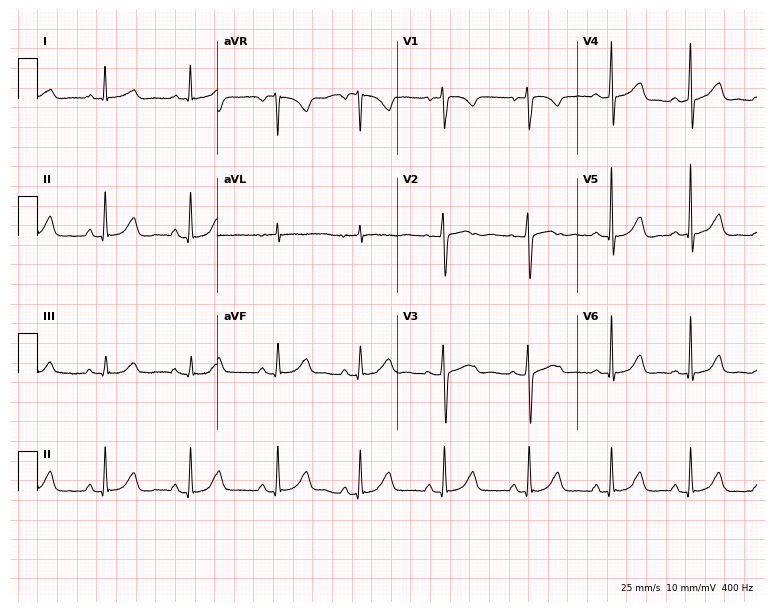
Electrocardiogram, a woman, 41 years old. Overall reading on record: normal ECG.